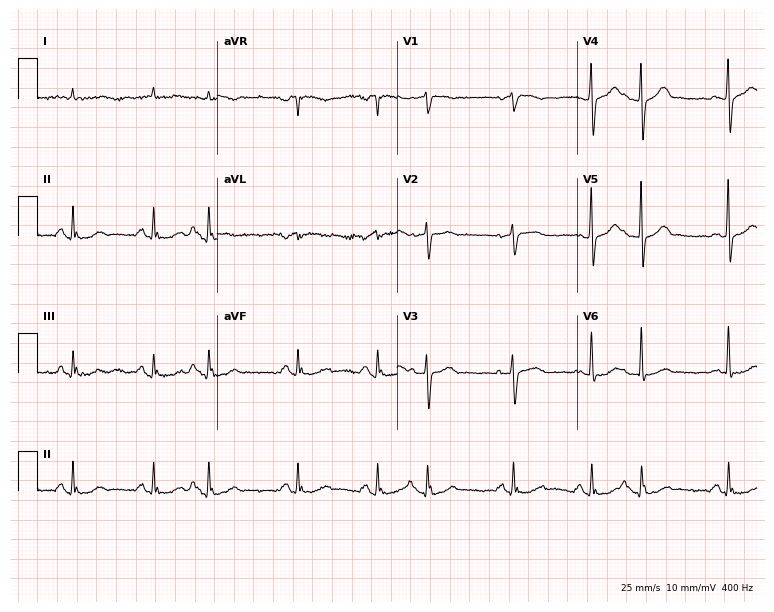
12-lead ECG from a male, 80 years old. No first-degree AV block, right bundle branch block, left bundle branch block, sinus bradycardia, atrial fibrillation or sinus tachycardia recorded for this tracing.